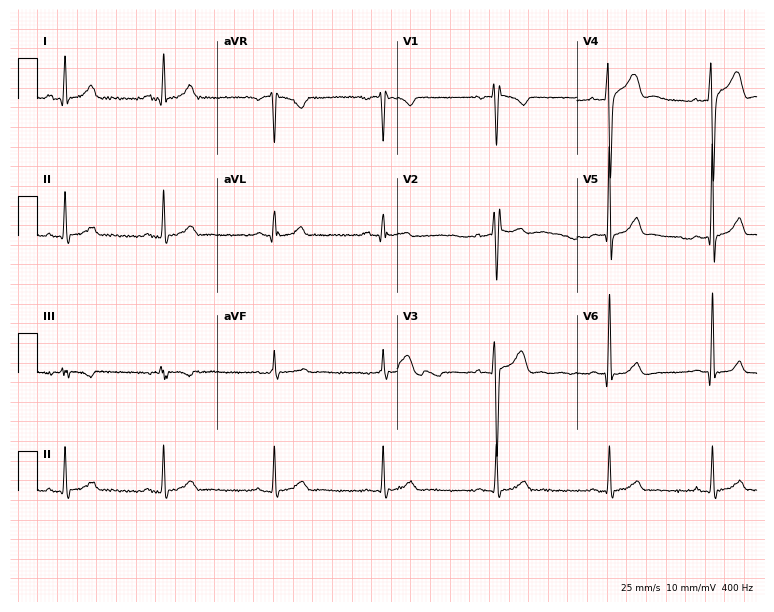
12-lead ECG from a male patient, 30 years old. No first-degree AV block, right bundle branch block, left bundle branch block, sinus bradycardia, atrial fibrillation or sinus tachycardia recorded for this tracing.